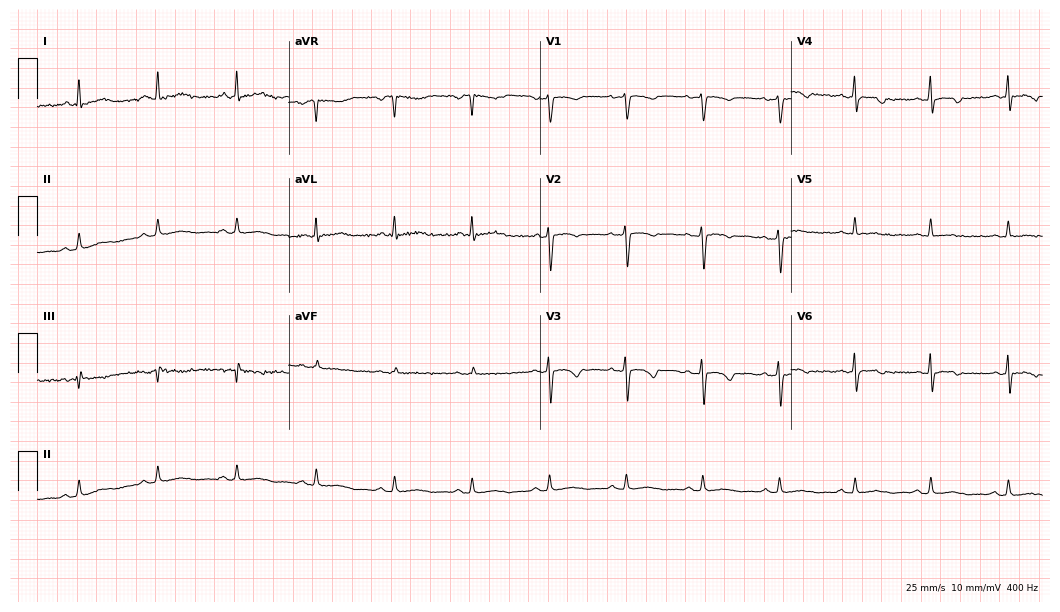
Electrocardiogram, a 39-year-old woman. Of the six screened findings (first-degree AV block, right bundle branch block, left bundle branch block, sinus bradycardia, atrial fibrillation, sinus tachycardia), none is recorded.